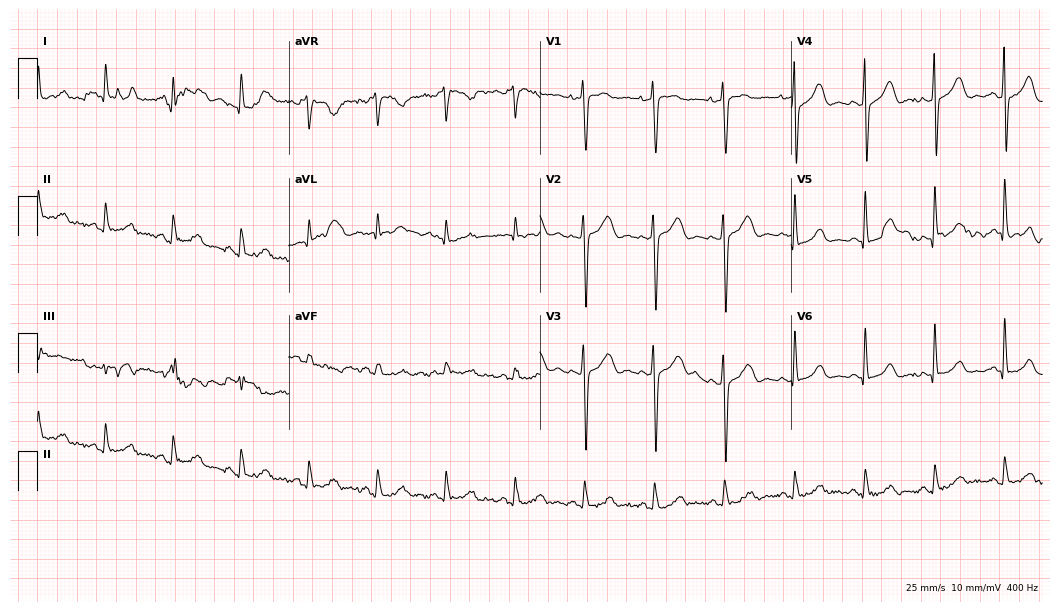
Electrocardiogram (10.2-second recording at 400 Hz), a 73-year-old woman. Of the six screened findings (first-degree AV block, right bundle branch block (RBBB), left bundle branch block (LBBB), sinus bradycardia, atrial fibrillation (AF), sinus tachycardia), none is recorded.